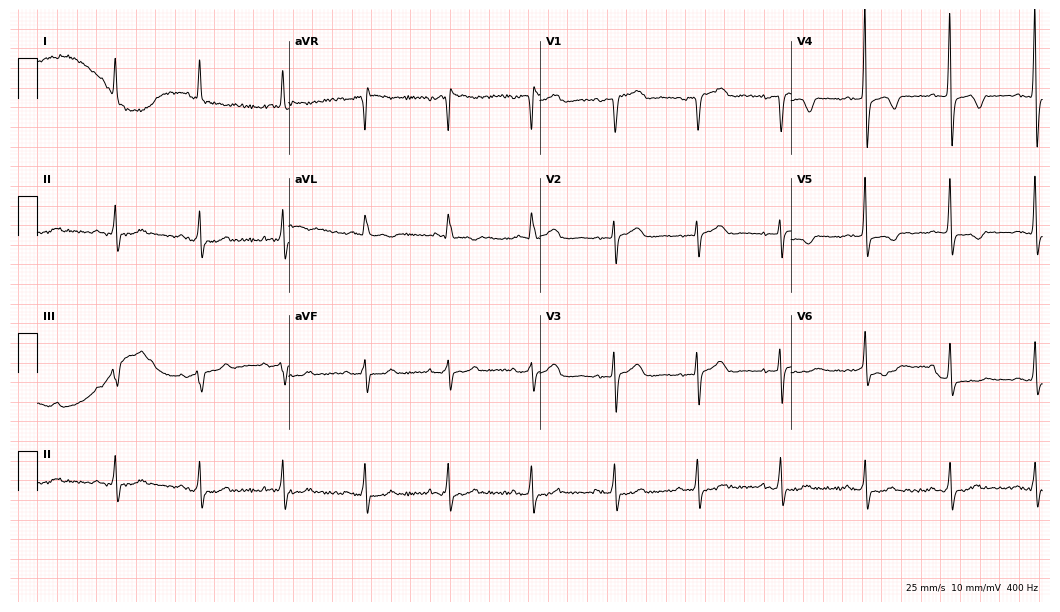
Standard 12-lead ECG recorded from a 69-year-old female patient. None of these six findings is recorded: first-degree AV block, right bundle branch block, left bundle branch block, sinus bradycardia, atrial fibrillation, sinus tachycardia.